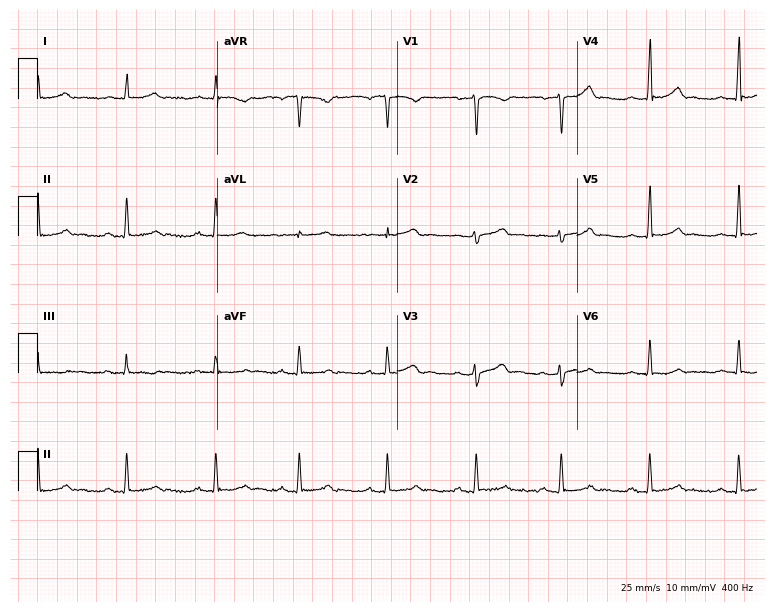
ECG — a 33-year-old female. Labelled as a normal ECG.